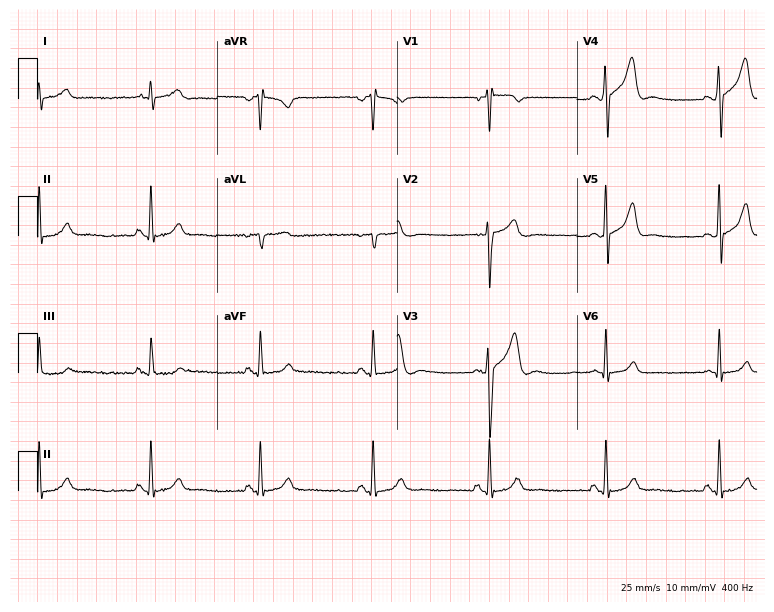
12-lead ECG from a 25-year-old male. No first-degree AV block, right bundle branch block, left bundle branch block, sinus bradycardia, atrial fibrillation or sinus tachycardia recorded for this tracing. Only these six findings were labelled.